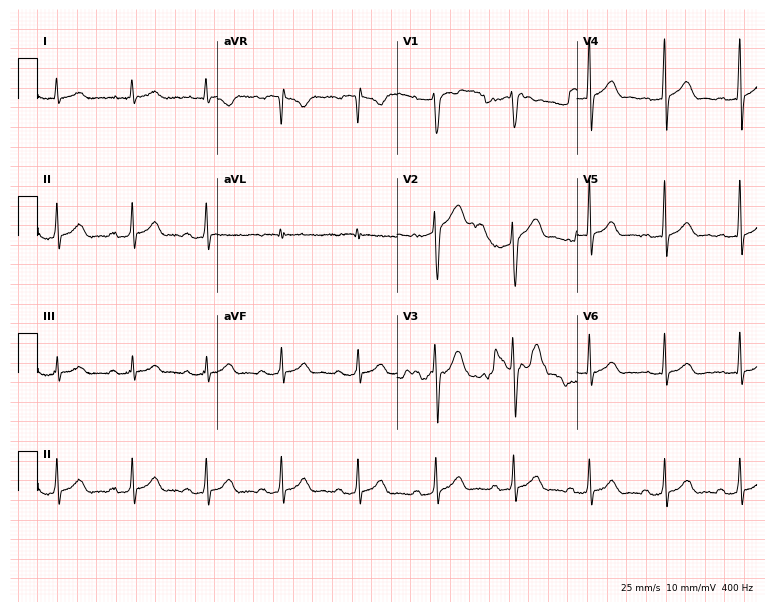
ECG (7.3-second recording at 400 Hz) — a male patient, 26 years old. Labelled as a normal ECG.